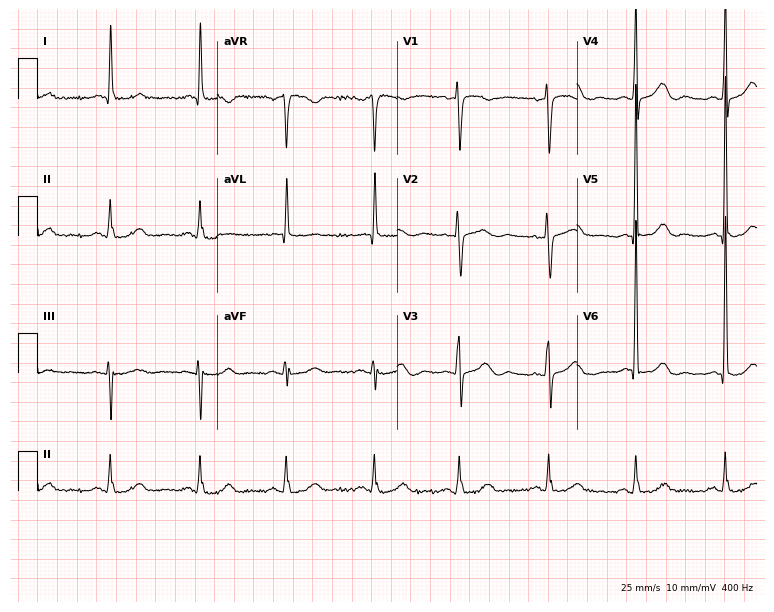
ECG (7.3-second recording at 400 Hz) — a 75-year-old female. Screened for six findings — first-degree AV block, right bundle branch block, left bundle branch block, sinus bradycardia, atrial fibrillation, sinus tachycardia — none is recorded. Findings outside these six are not listed.